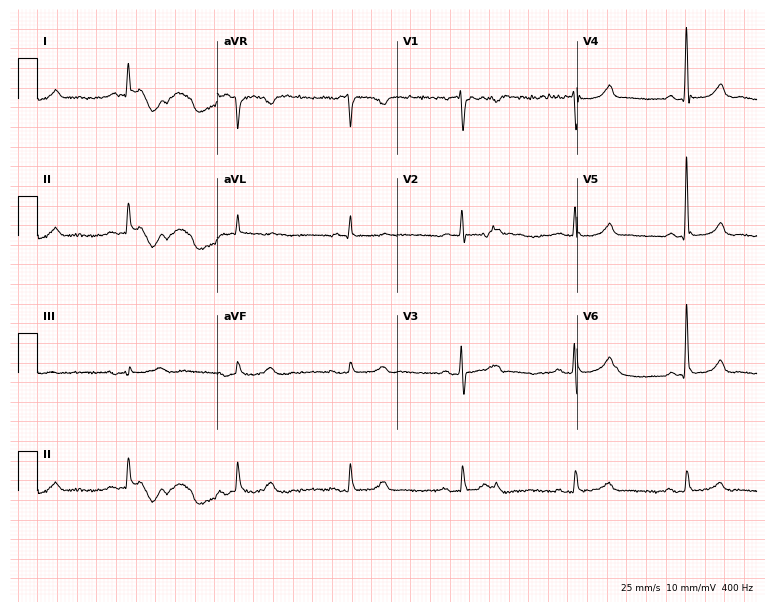
12-lead ECG from a male patient, 76 years old (7.3-second recording at 400 Hz). Recorded interpretation: within normal limits.